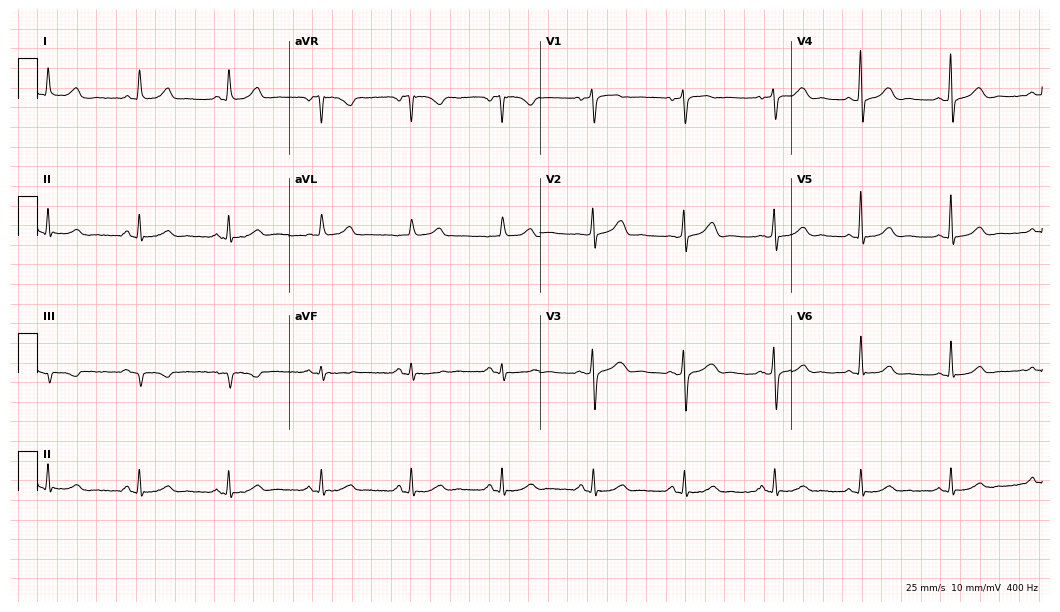
Standard 12-lead ECG recorded from a woman, 55 years old (10.2-second recording at 400 Hz). Read as a normal ECG.